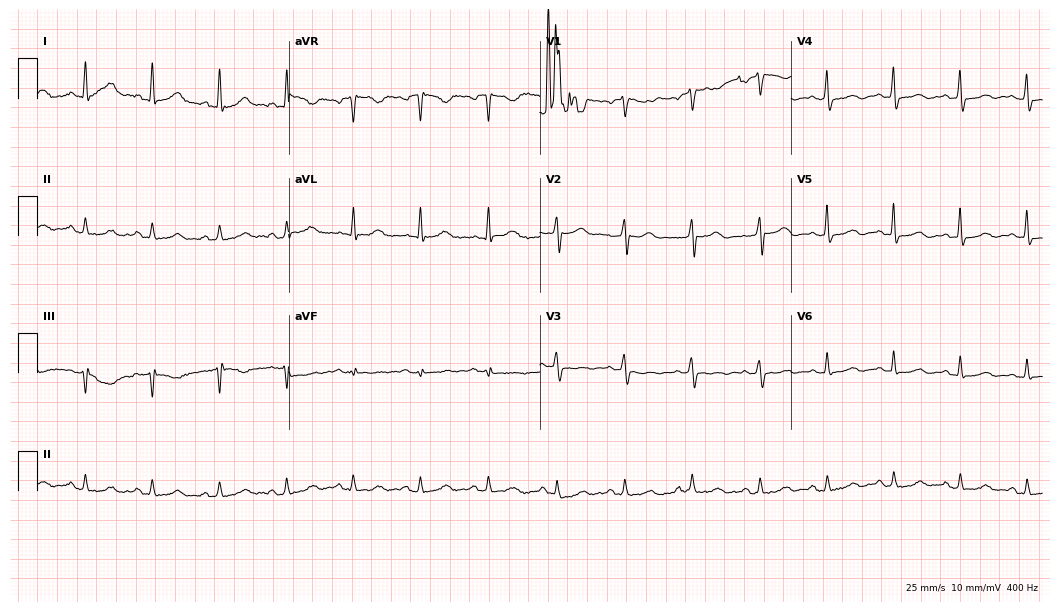
Standard 12-lead ECG recorded from a 68-year-old man. None of these six findings is recorded: first-degree AV block, right bundle branch block (RBBB), left bundle branch block (LBBB), sinus bradycardia, atrial fibrillation (AF), sinus tachycardia.